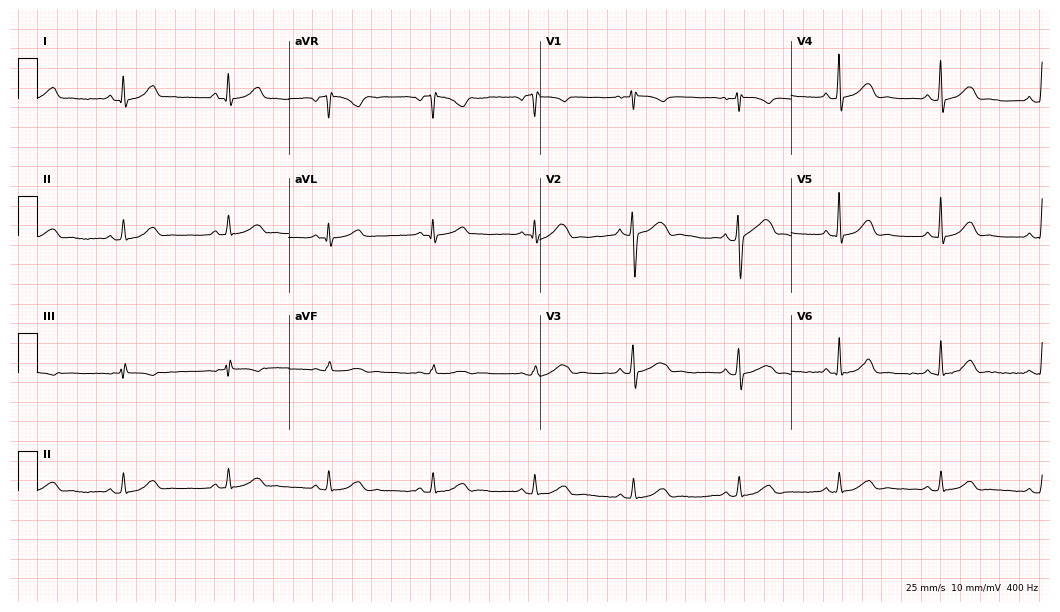
12-lead ECG from a female, 56 years old. Labelled as a normal ECG.